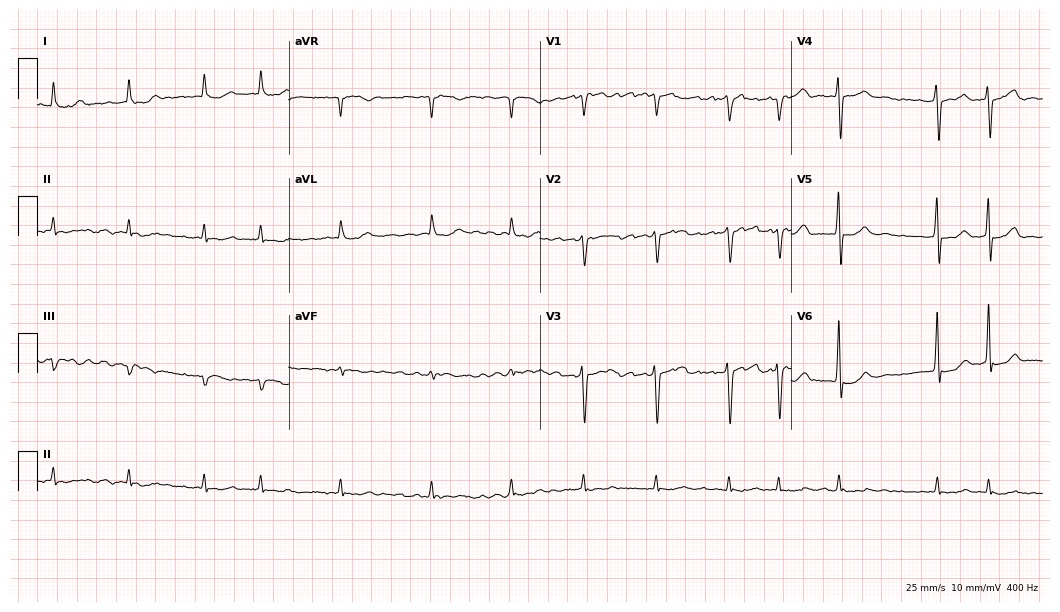
12-lead ECG from an 80-year-old male patient. Shows atrial fibrillation.